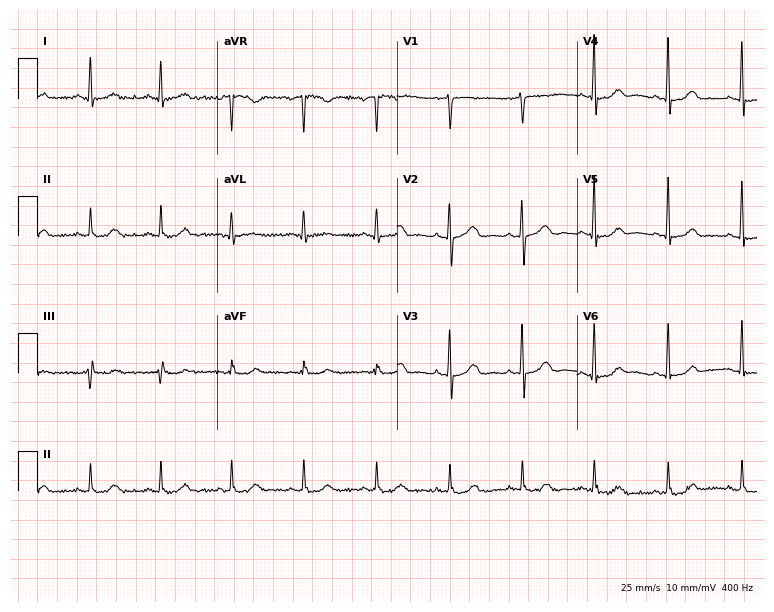
Resting 12-lead electrocardiogram (7.3-second recording at 400 Hz). Patient: a 52-year-old female. Read as a normal ECG.